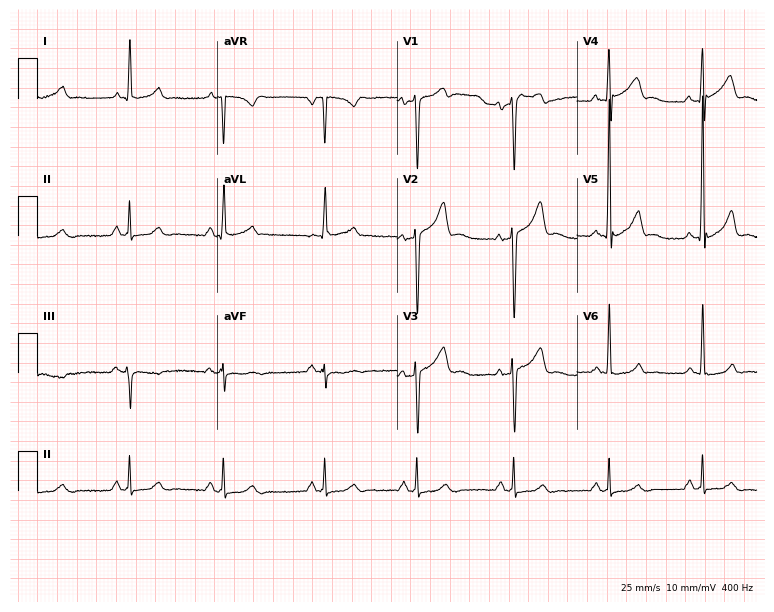
Electrocardiogram (7.3-second recording at 400 Hz), a male patient, 53 years old. Of the six screened findings (first-degree AV block, right bundle branch block, left bundle branch block, sinus bradycardia, atrial fibrillation, sinus tachycardia), none is recorded. Only these six findings were labelled.